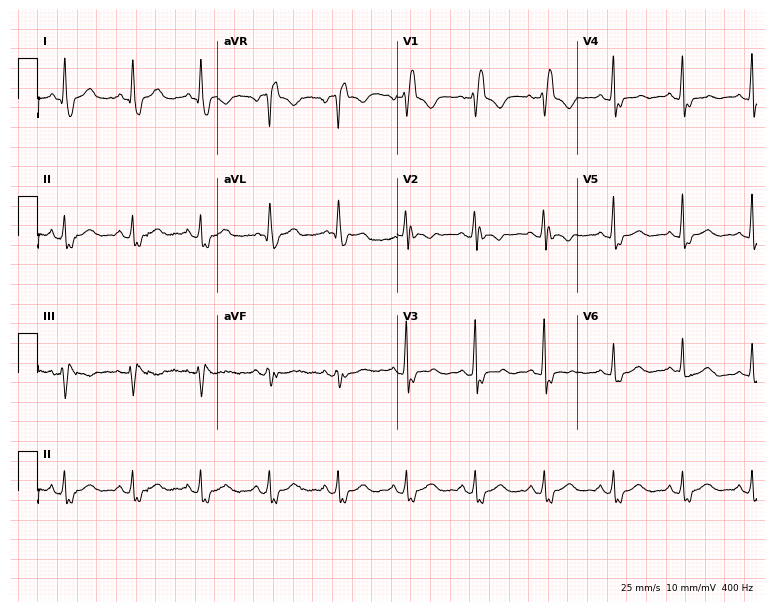
12-lead ECG from a female patient, 53 years old. Findings include right bundle branch block.